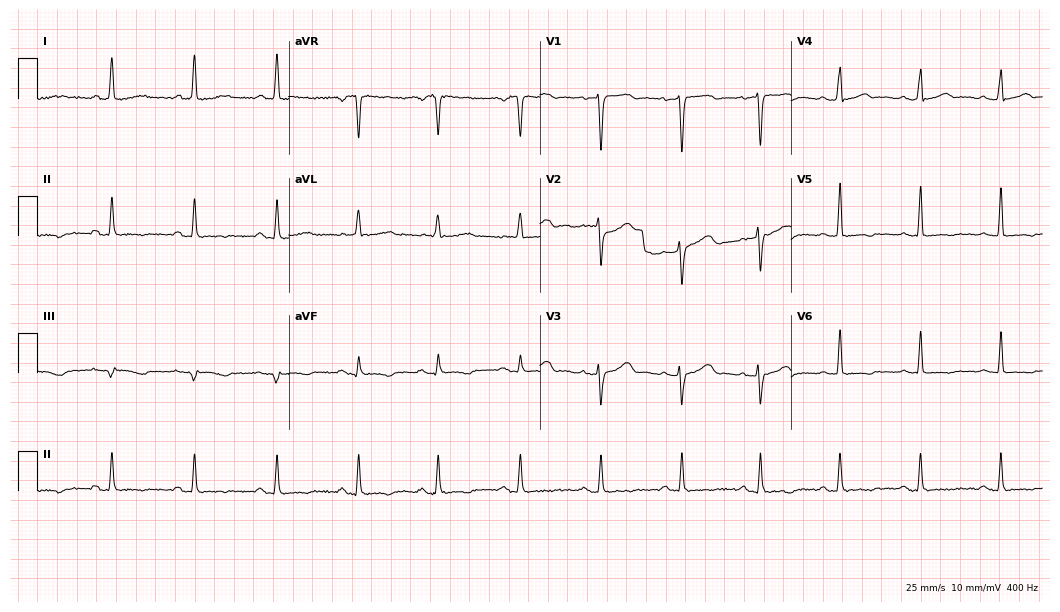
Standard 12-lead ECG recorded from a female patient, 50 years old (10.2-second recording at 400 Hz). None of these six findings is recorded: first-degree AV block, right bundle branch block, left bundle branch block, sinus bradycardia, atrial fibrillation, sinus tachycardia. Only these six findings were labelled.